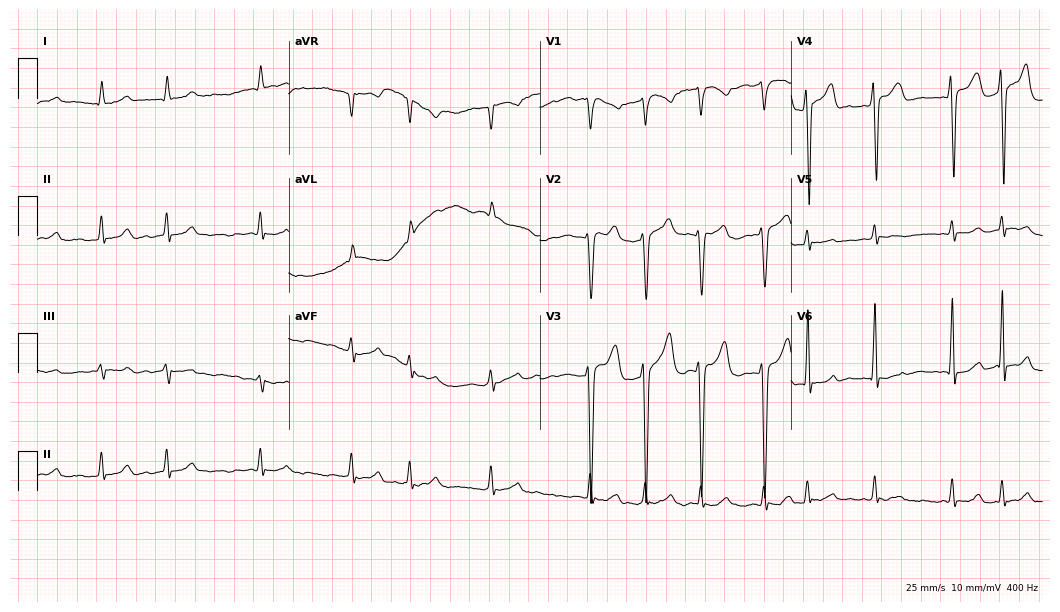
Standard 12-lead ECG recorded from a man, 75 years old (10.2-second recording at 400 Hz). The tracing shows atrial fibrillation.